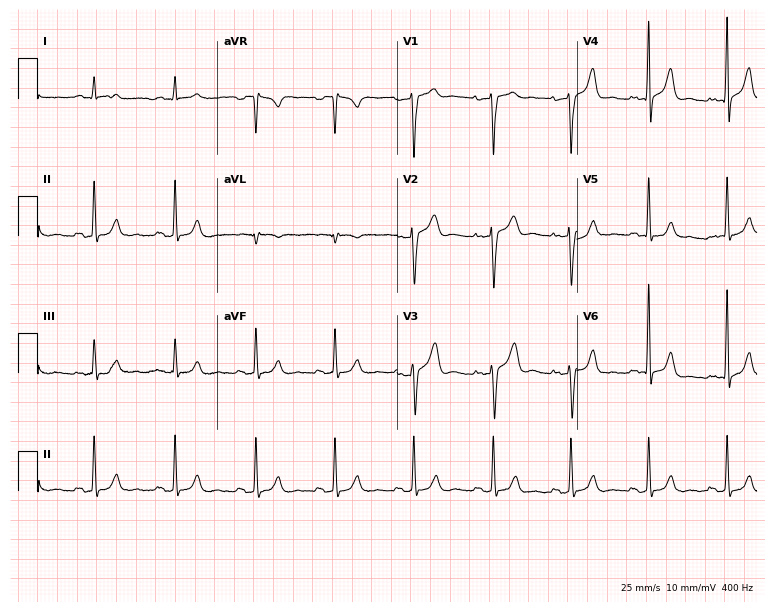
Resting 12-lead electrocardiogram. Patient: a 55-year-old man. Read as a normal ECG.